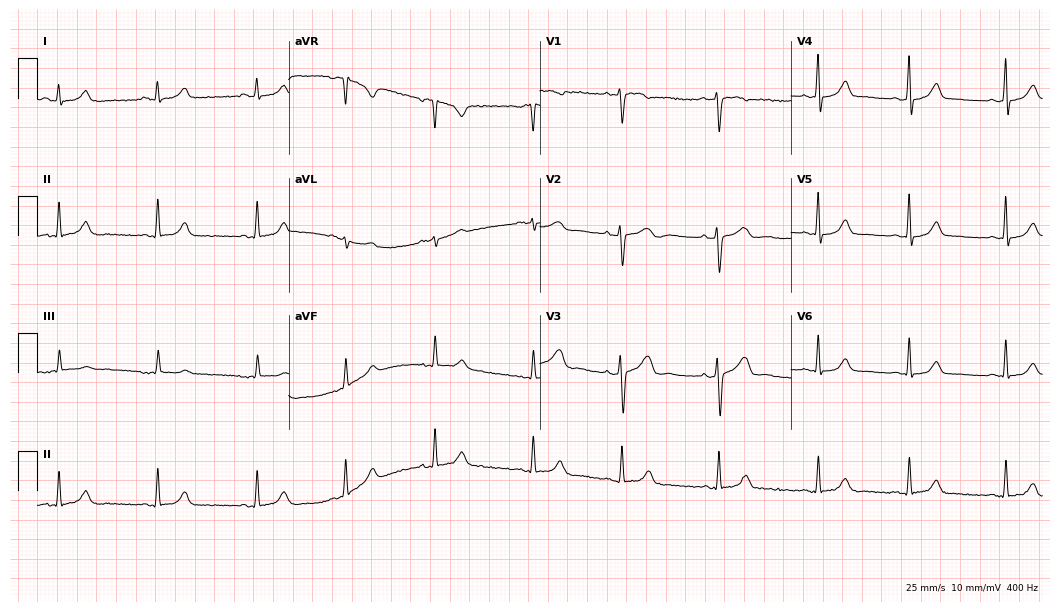
12-lead ECG from a female patient, 31 years old. Recorded interpretation: within normal limits.